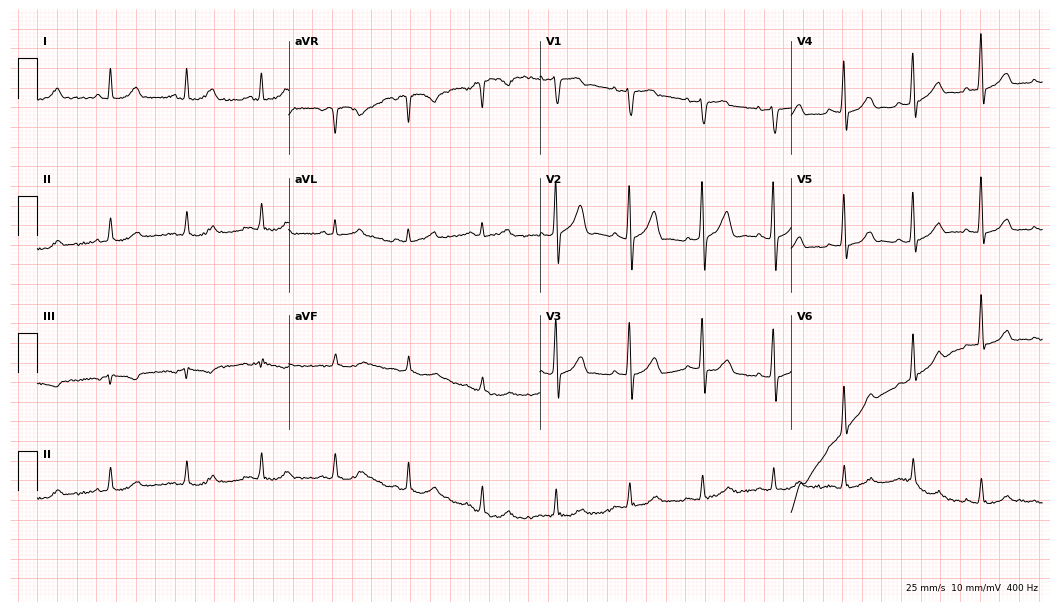
Standard 12-lead ECG recorded from a male, 54 years old (10.2-second recording at 400 Hz). Read as a normal ECG.